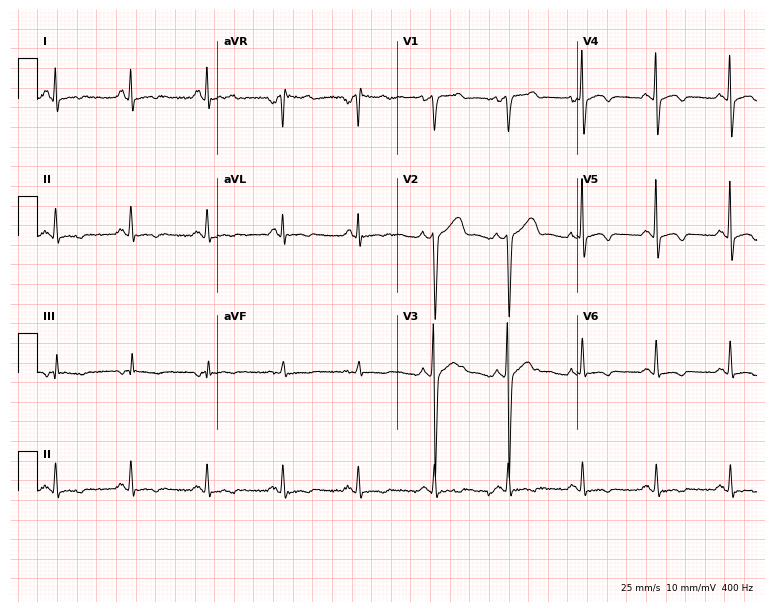
Electrocardiogram (7.3-second recording at 400 Hz), a 59-year-old male patient. Of the six screened findings (first-degree AV block, right bundle branch block, left bundle branch block, sinus bradycardia, atrial fibrillation, sinus tachycardia), none is recorded. Findings outside these six are not listed.